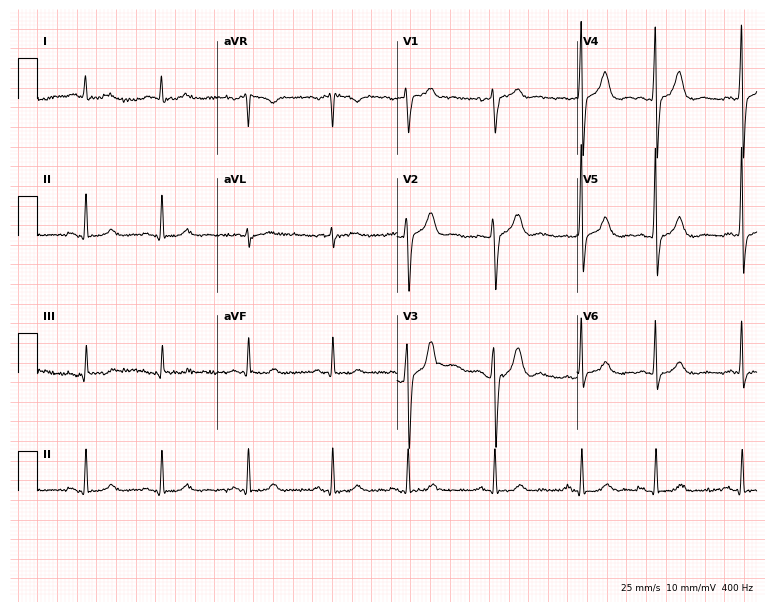
Electrocardiogram (7.3-second recording at 400 Hz), a 76-year-old man. Overall reading on record: normal ECG.